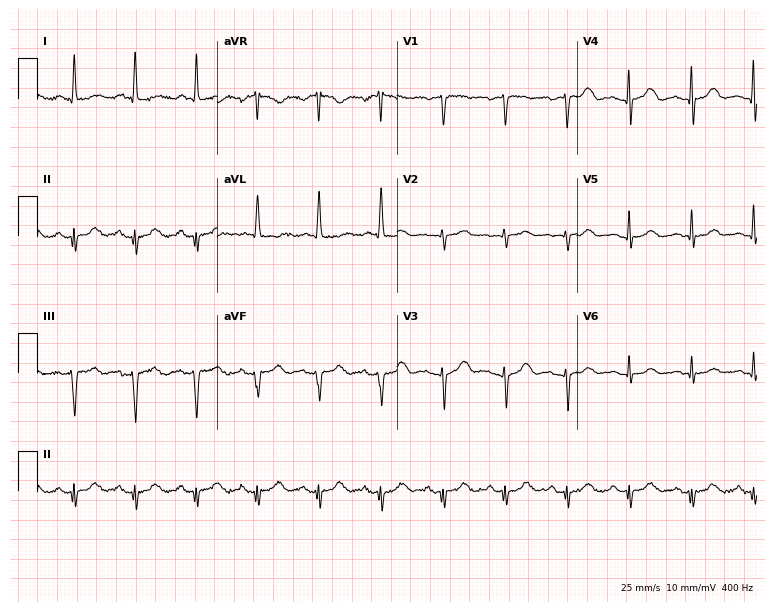
Electrocardiogram (7.3-second recording at 400 Hz), a woman, 73 years old. Of the six screened findings (first-degree AV block, right bundle branch block (RBBB), left bundle branch block (LBBB), sinus bradycardia, atrial fibrillation (AF), sinus tachycardia), none is recorded. Only these six findings were labelled.